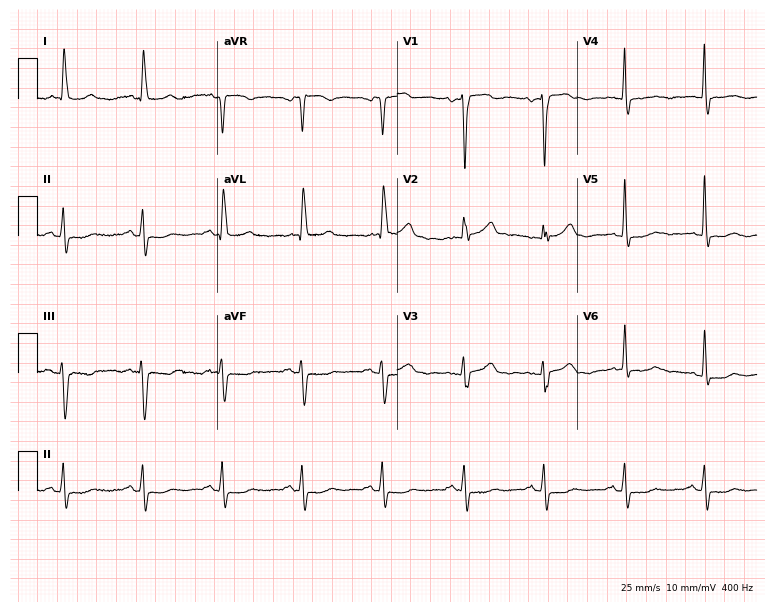
Resting 12-lead electrocardiogram. Patient: an 81-year-old woman. None of these six findings is recorded: first-degree AV block, right bundle branch block (RBBB), left bundle branch block (LBBB), sinus bradycardia, atrial fibrillation (AF), sinus tachycardia.